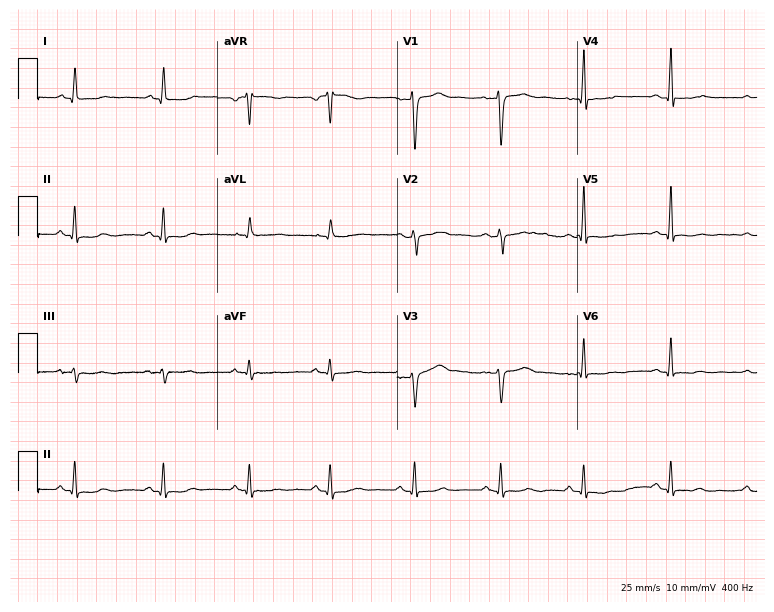
ECG (7.3-second recording at 400 Hz) — a female patient, 50 years old. Screened for six findings — first-degree AV block, right bundle branch block, left bundle branch block, sinus bradycardia, atrial fibrillation, sinus tachycardia — none is recorded.